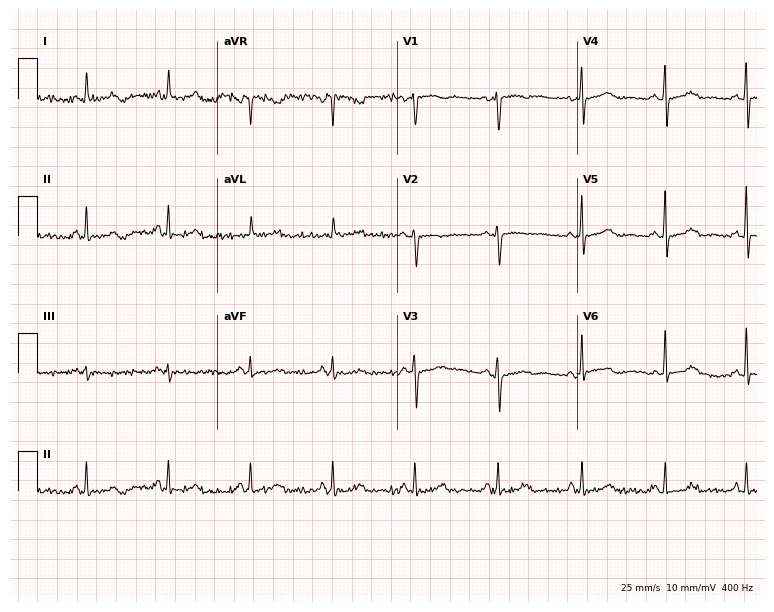
12-lead ECG (7.3-second recording at 400 Hz) from a 69-year-old woman. Screened for six findings — first-degree AV block, right bundle branch block, left bundle branch block, sinus bradycardia, atrial fibrillation, sinus tachycardia — none is recorded. Findings outside these six are not listed.